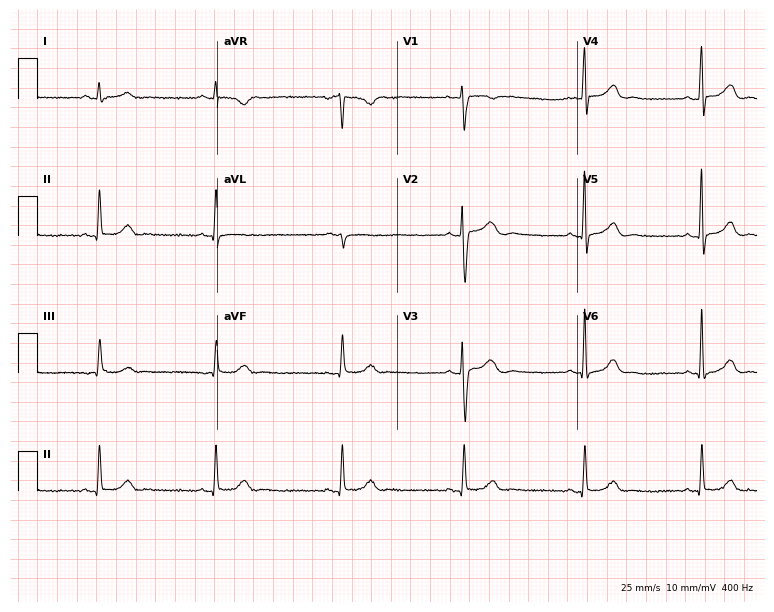
12-lead ECG from a woman, 49 years old. Screened for six findings — first-degree AV block, right bundle branch block, left bundle branch block, sinus bradycardia, atrial fibrillation, sinus tachycardia — none is recorded.